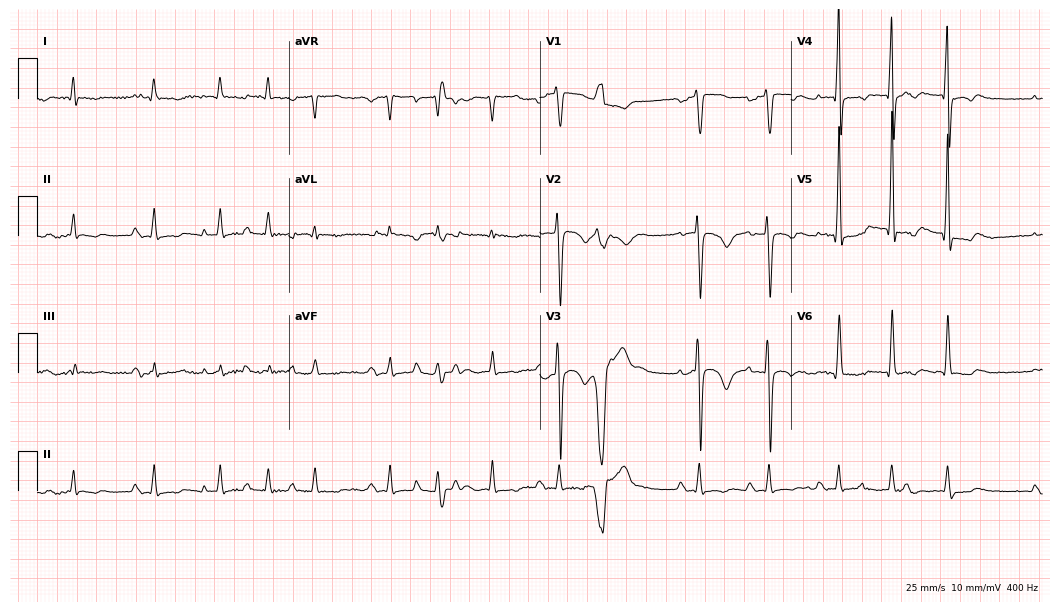
ECG — a 72-year-old man. Screened for six findings — first-degree AV block, right bundle branch block, left bundle branch block, sinus bradycardia, atrial fibrillation, sinus tachycardia — none is recorded. Other findings, if any, are not listed.